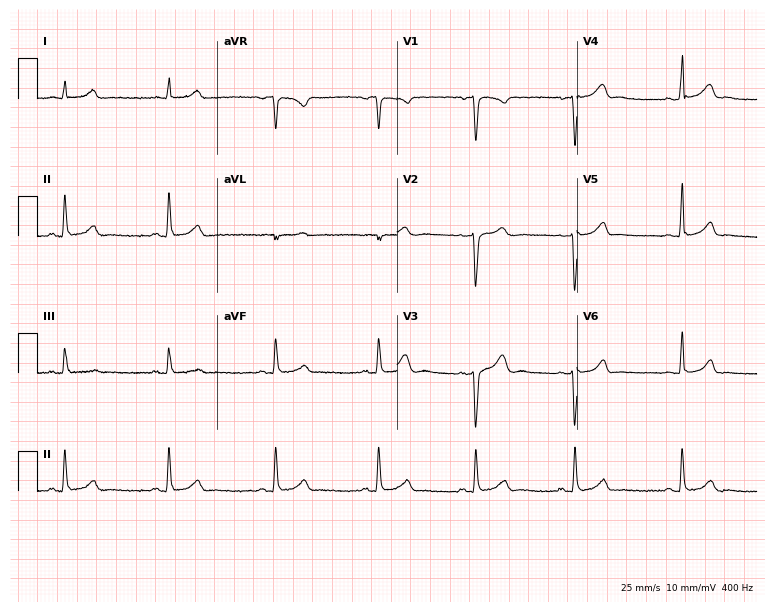
Electrocardiogram (7.3-second recording at 400 Hz), a 19-year-old woman. Of the six screened findings (first-degree AV block, right bundle branch block (RBBB), left bundle branch block (LBBB), sinus bradycardia, atrial fibrillation (AF), sinus tachycardia), none is recorded. Other findings, if any, are not listed.